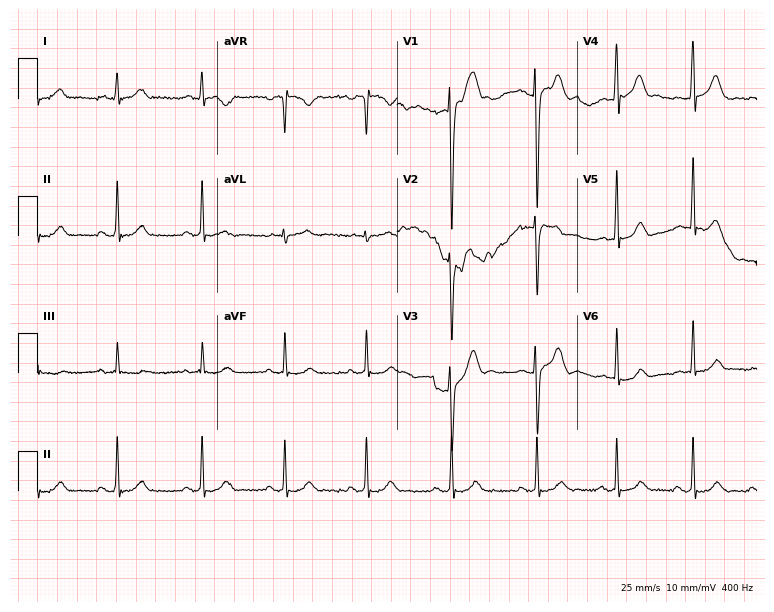
Standard 12-lead ECG recorded from a male, 22 years old (7.3-second recording at 400 Hz). Read as a normal ECG.